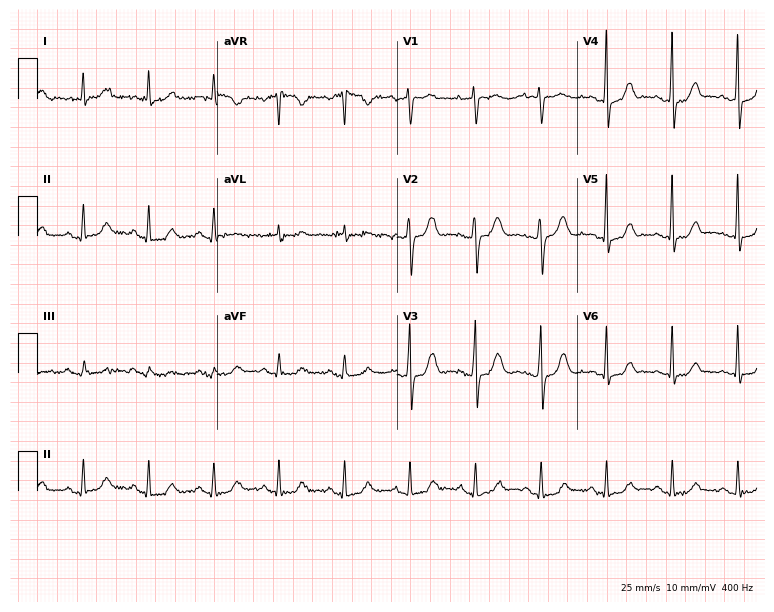
ECG (7.3-second recording at 400 Hz) — an 84-year-old man. Screened for six findings — first-degree AV block, right bundle branch block, left bundle branch block, sinus bradycardia, atrial fibrillation, sinus tachycardia — none is recorded.